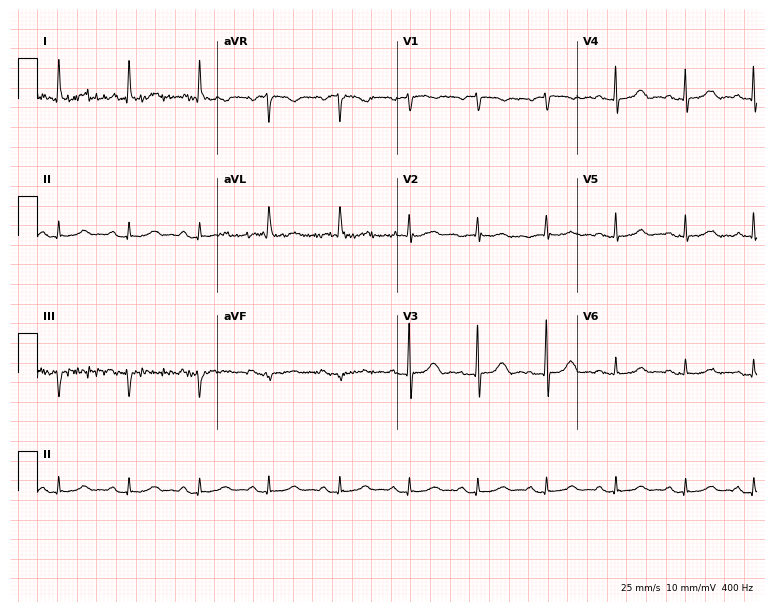
12-lead ECG from a woman, 66 years old (7.3-second recording at 400 Hz). Recorded interpretation: within normal limits.